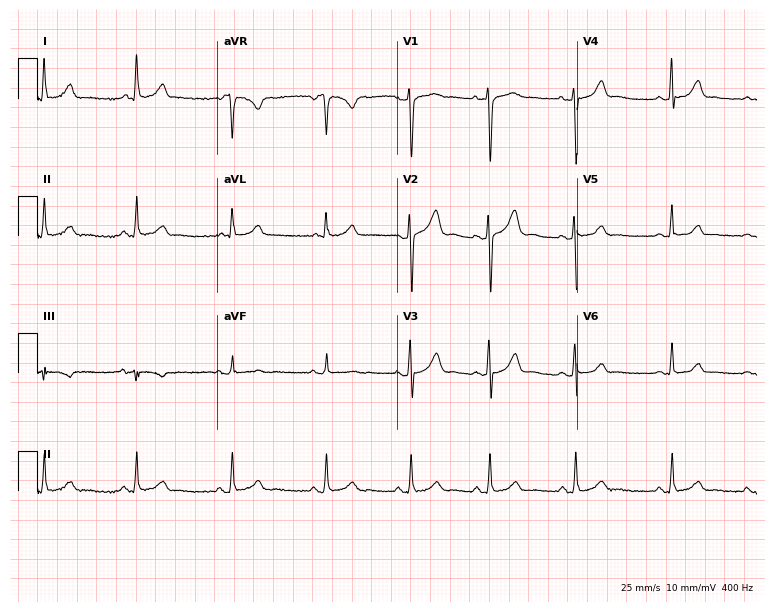
Standard 12-lead ECG recorded from a 24-year-old woman (7.3-second recording at 400 Hz). Read as a normal ECG.